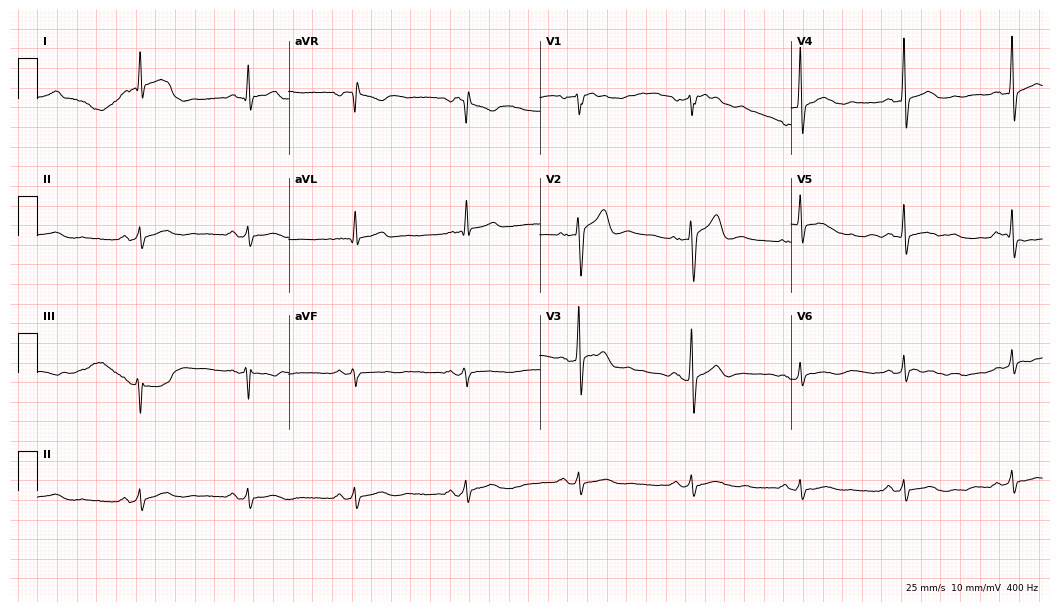
ECG — a 69-year-old man. Screened for six findings — first-degree AV block, right bundle branch block (RBBB), left bundle branch block (LBBB), sinus bradycardia, atrial fibrillation (AF), sinus tachycardia — none is recorded.